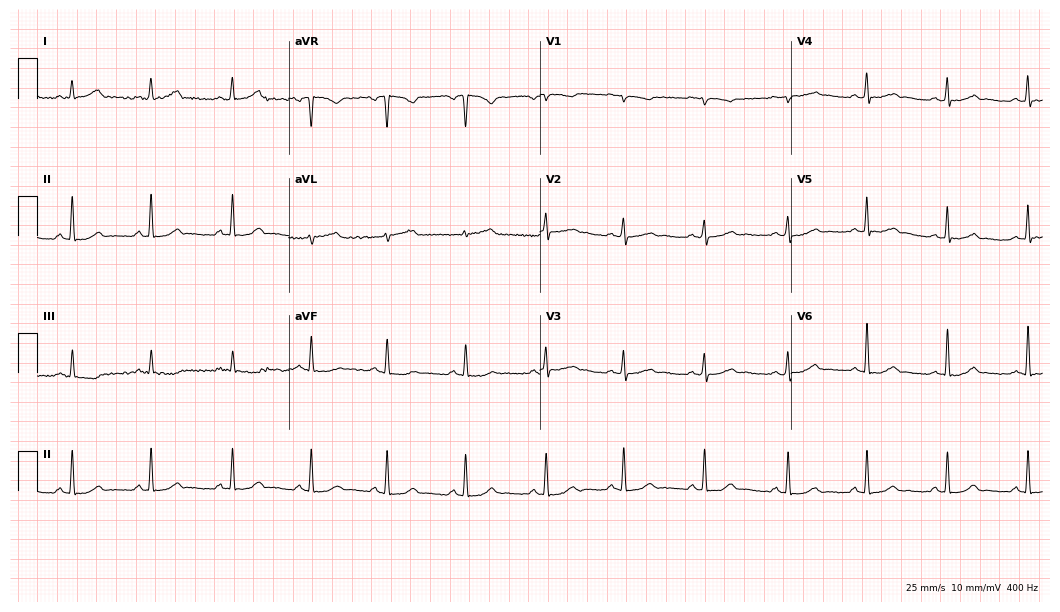
Resting 12-lead electrocardiogram. Patient: a 24-year-old female. None of these six findings is recorded: first-degree AV block, right bundle branch block, left bundle branch block, sinus bradycardia, atrial fibrillation, sinus tachycardia.